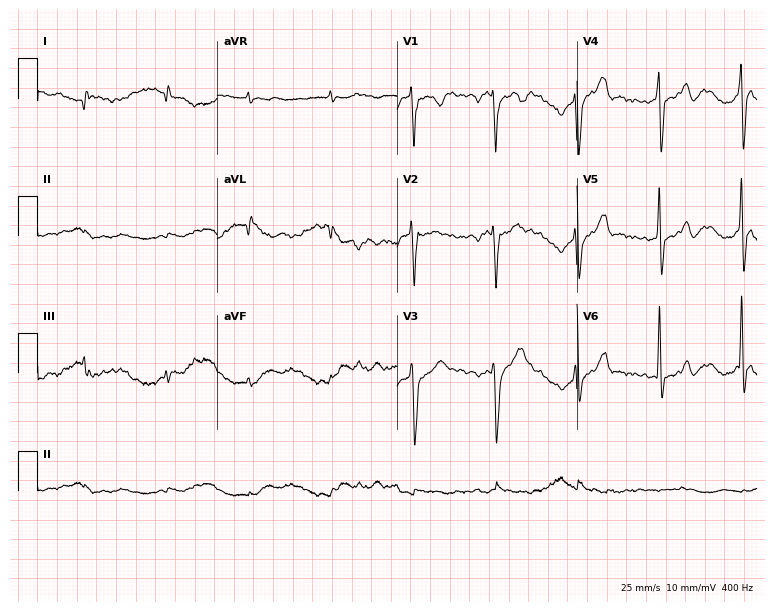
12-lead ECG (7.3-second recording at 400 Hz) from an 80-year-old male patient. Screened for six findings — first-degree AV block, right bundle branch block, left bundle branch block, sinus bradycardia, atrial fibrillation, sinus tachycardia — none is recorded. Only these six findings were labelled.